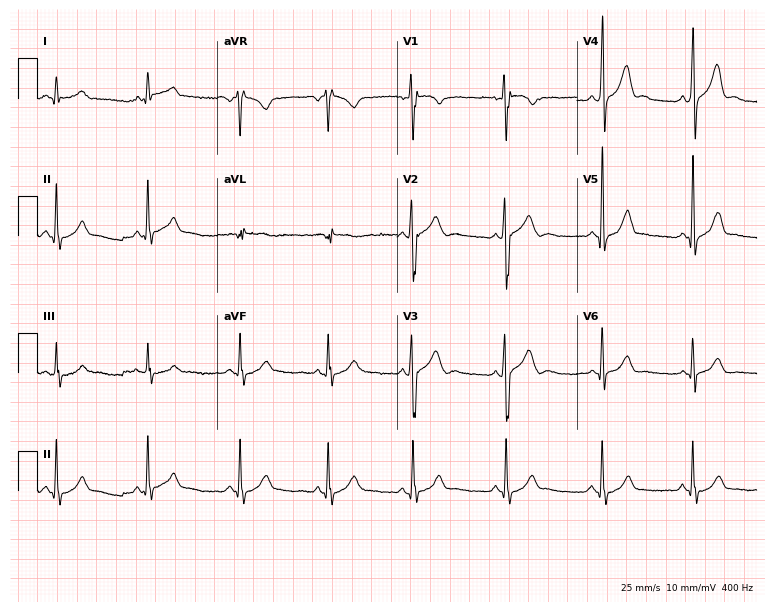
12-lead ECG from a 26-year-old male. Recorded interpretation: within normal limits.